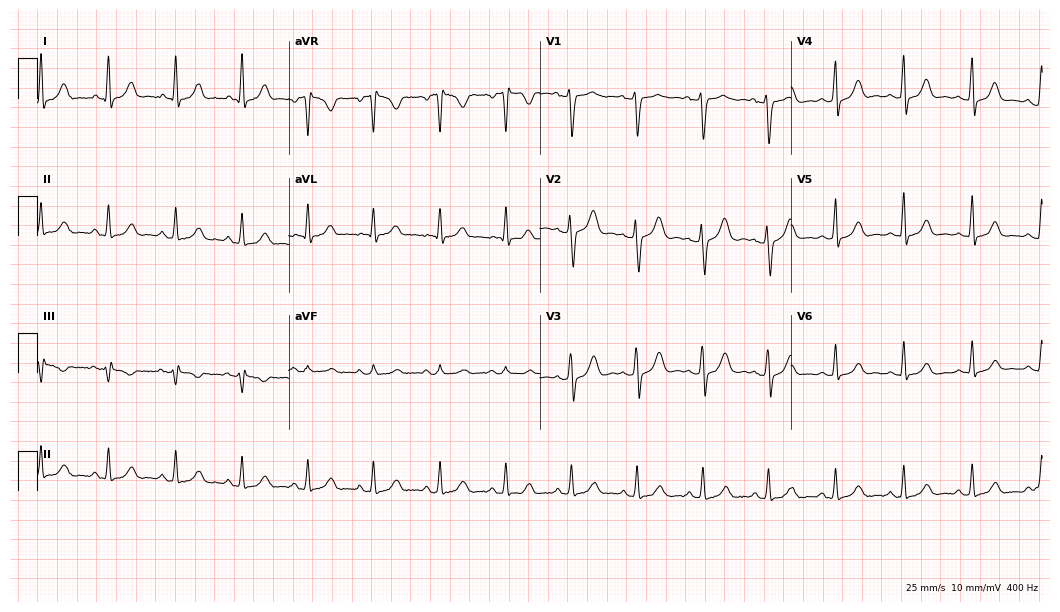
Standard 12-lead ECG recorded from a woman, 39 years old (10.2-second recording at 400 Hz). Read as a normal ECG.